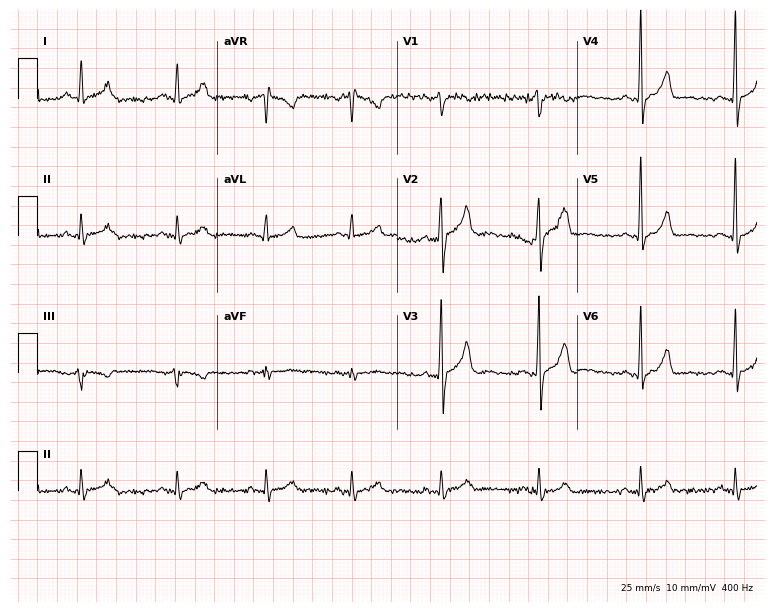
Resting 12-lead electrocardiogram (7.3-second recording at 400 Hz). Patient: a male, 20 years old. Read as a normal ECG.